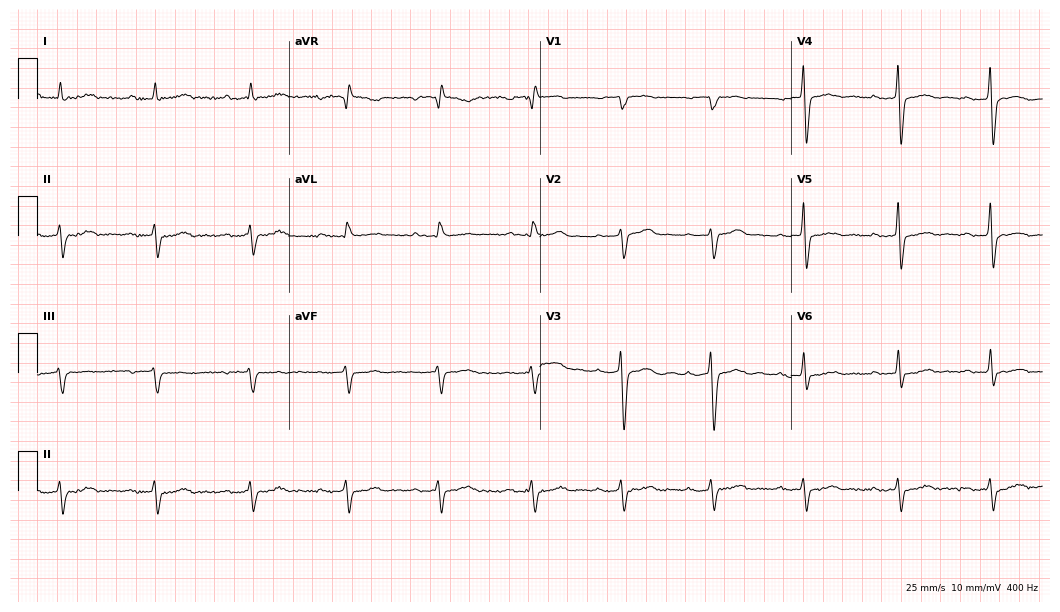
12-lead ECG from a male patient, 61 years old. No first-degree AV block, right bundle branch block, left bundle branch block, sinus bradycardia, atrial fibrillation or sinus tachycardia recorded for this tracing.